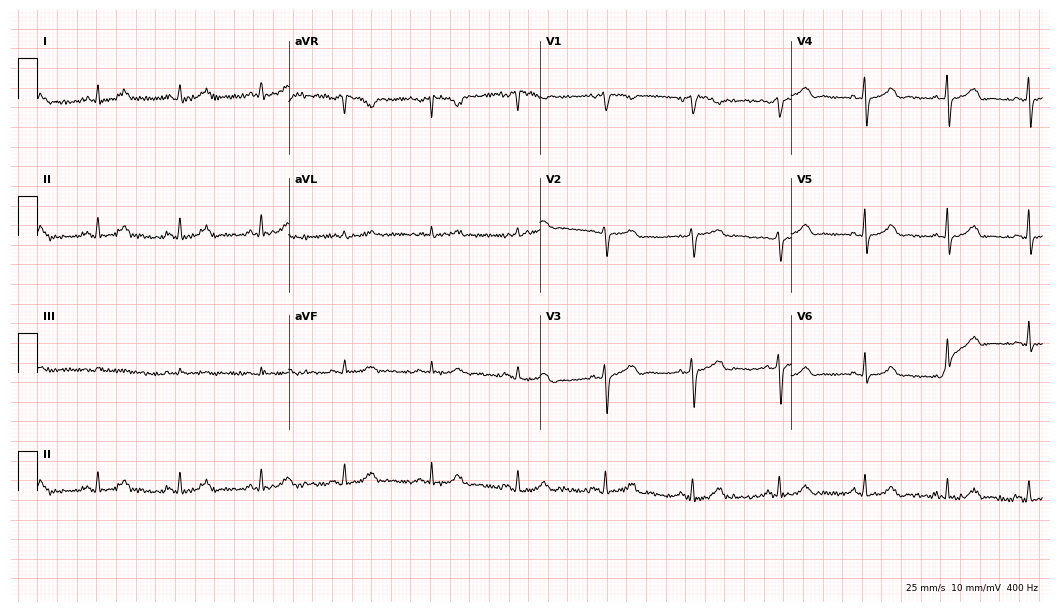
Electrocardiogram (10.2-second recording at 400 Hz), a 54-year-old female. Overall reading on record: normal ECG.